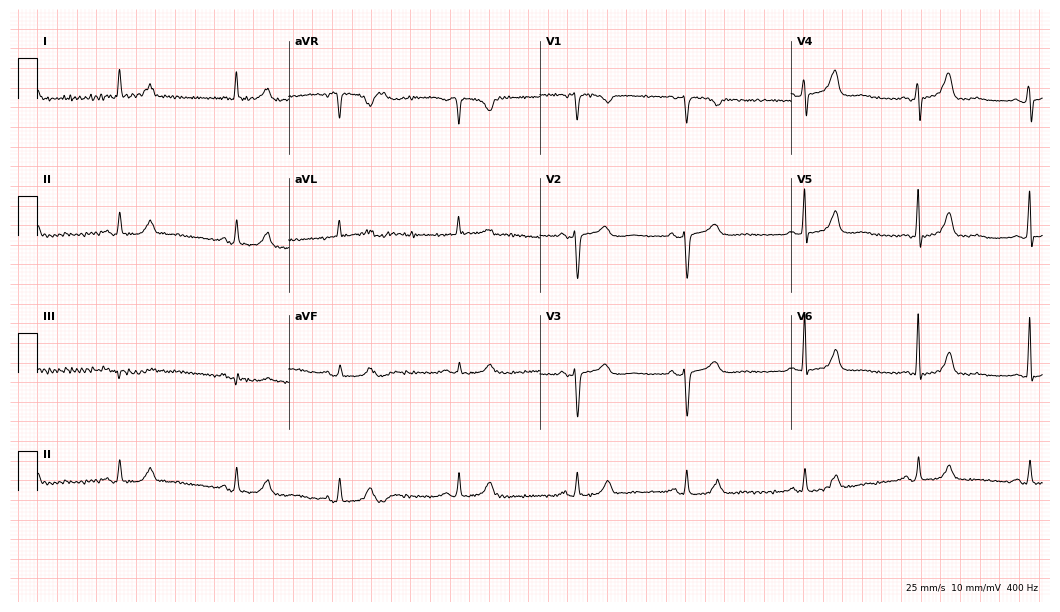
ECG (10.2-second recording at 400 Hz) — a female patient, 69 years old. Labelled as a normal ECG.